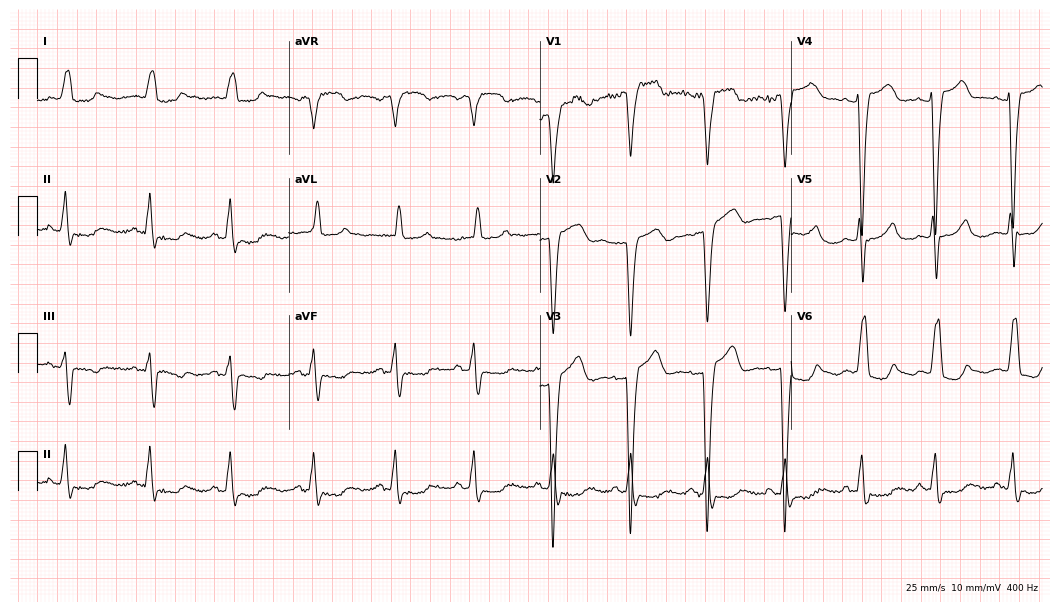
Electrocardiogram (10.2-second recording at 400 Hz), a female, 61 years old. Interpretation includes left bundle branch block (LBBB).